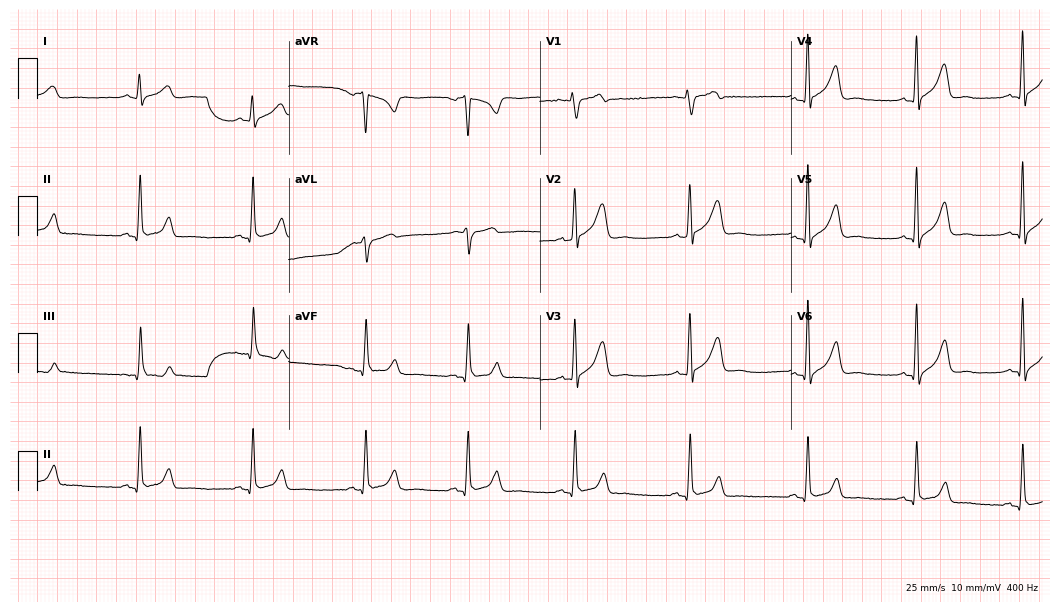
ECG (10.2-second recording at 400 Hz) — a male, 29 years old. Screened for six findings — first-degree AV block, right bundle branch block, left bundle branch block, sinus bradycardia, atrial fibrillation, sinus tachycardia — none is recorded.